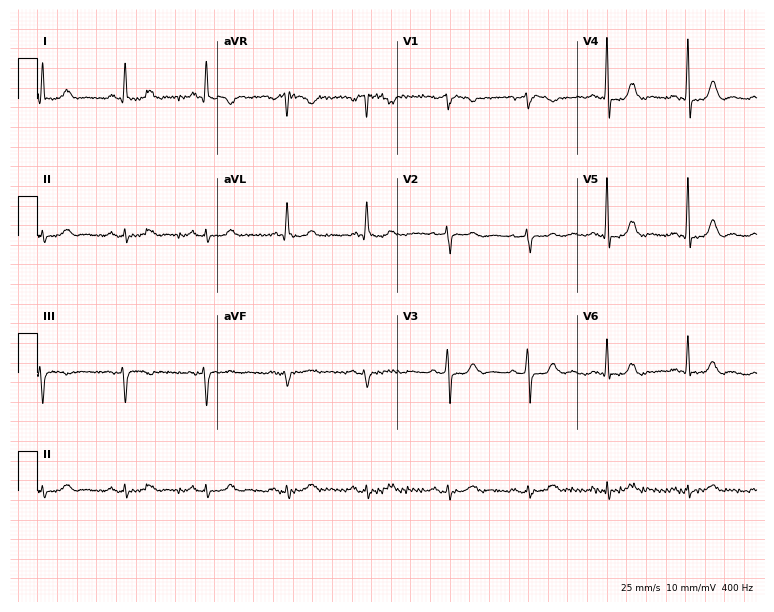
12-lead ECG from a 70-year-old female (7.3-second recording at 400 Hz). No first-degree AV block, right bundle branch block, left bundle branch block, sinus bradycardia, atrial fibrillation or sinus tachycardia recorded for this tracing. Only these six findings were labelled.